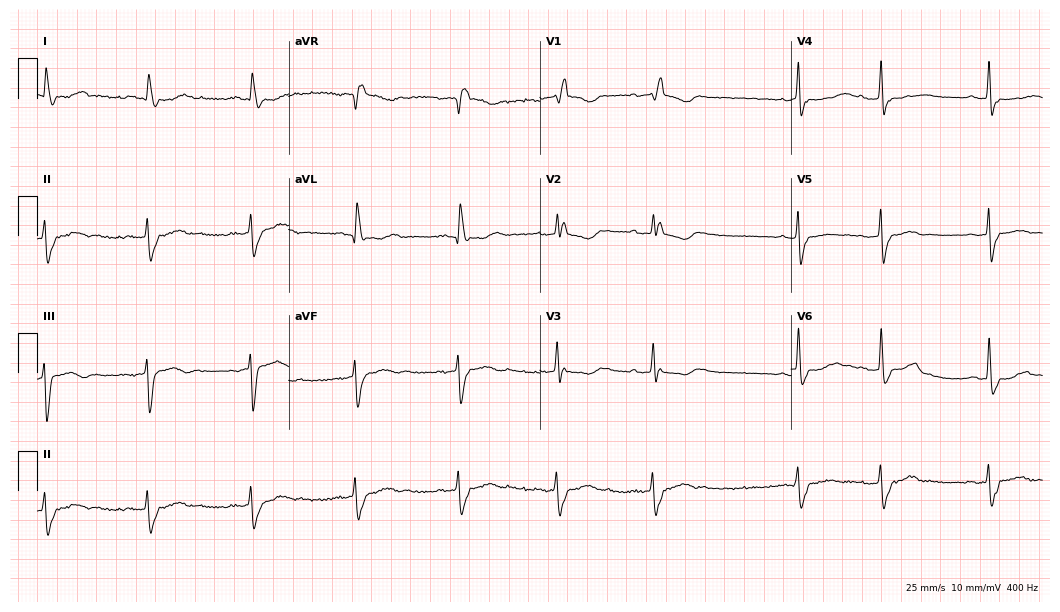
Standard 12-lead ECG recorded from a female, 74 years old. The tracing shows right bundle branch block (RBBB).